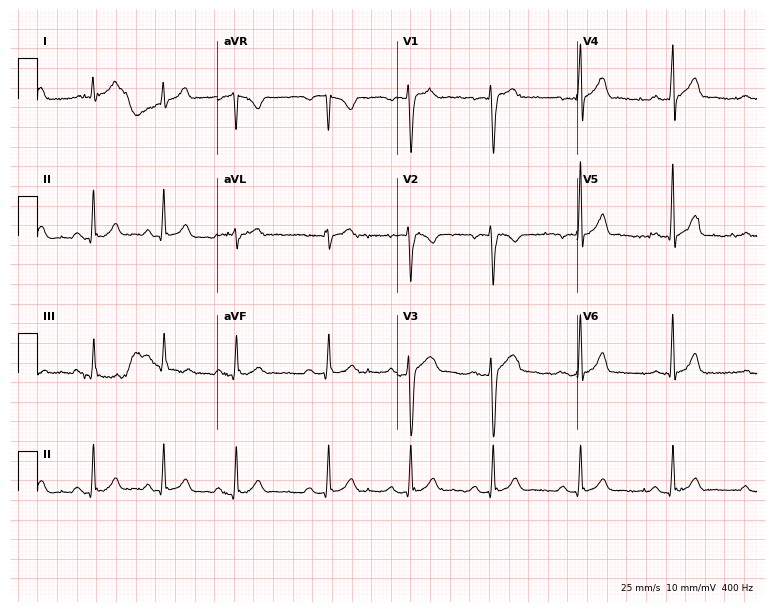
12-lead ECG from a man, 18 years old (7.3-second recording at 400 Hz). Recorded interpretation: within normal limits.